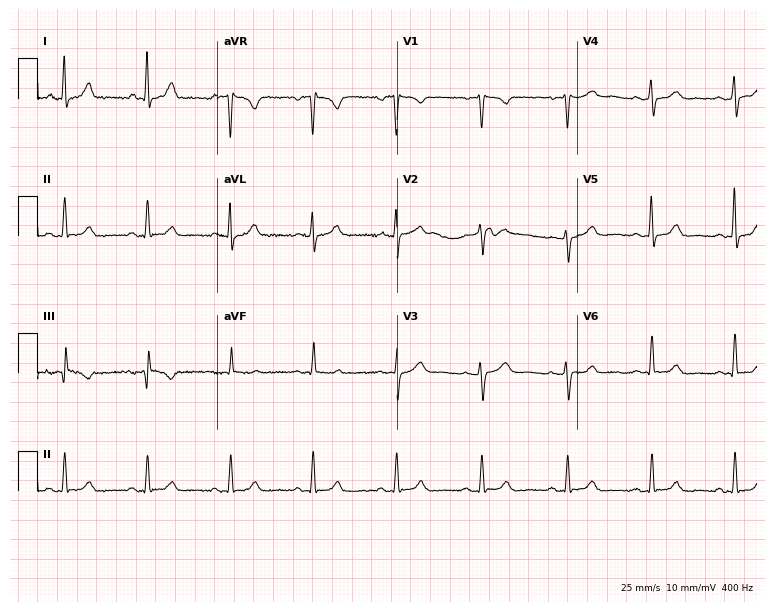
12-lead ECG (7.3-second recording at 400 Hz) from a woman, 44 years old. Labelled as a normal ECG.